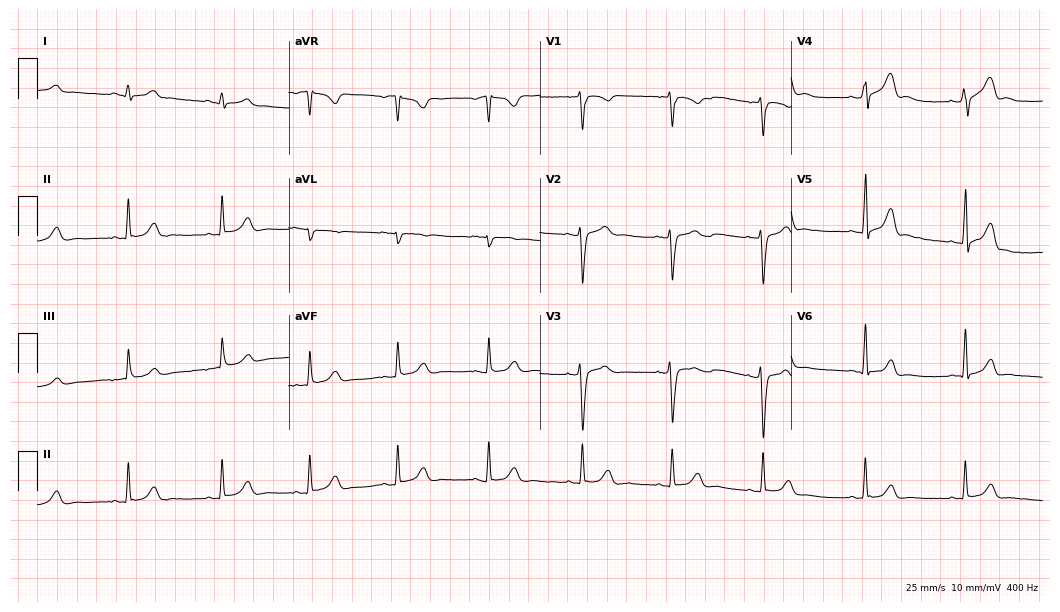
12-lead ECG from a man, 31 years old. Labelled as a normal ECG.